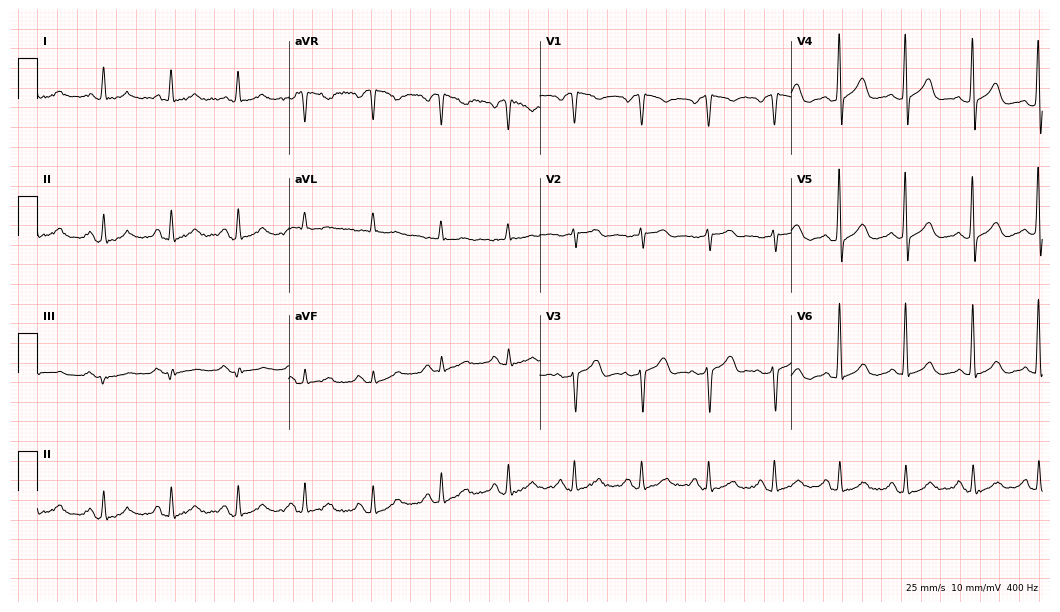
Standard 12-lead ECG recorded from a 67-year-old male (10.2-second recording at 400 Hz). Read as a normal ECG.